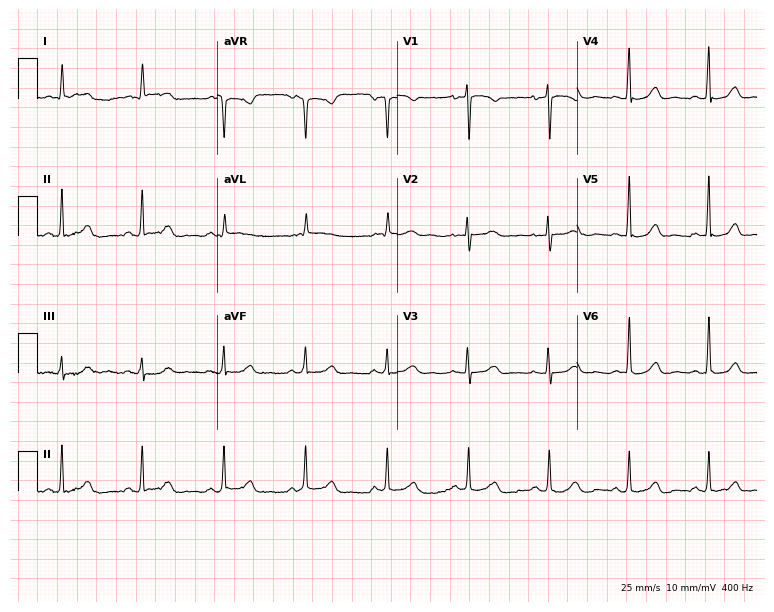
Standard 12-lead ECG recorded from a female patient, 71 years old. Read as a normal ECG.